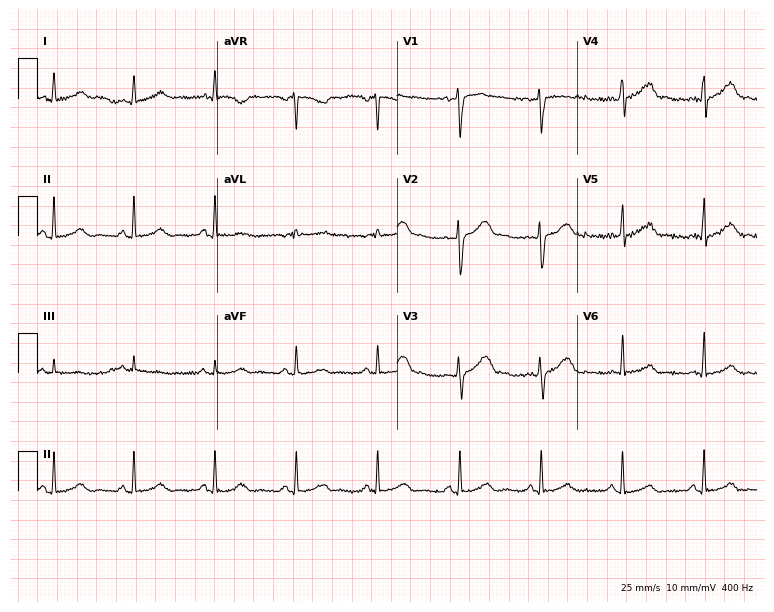
12-lead ECG (7.3-second recording at 400 Hz) from a 33-year-old female patient. Screened for six findings — first-degree AV block, right bundle branch block, left bundle branch block, sinus bradycardia, atrial fibrillation, sinus tachycardia — none is recorded. Other findings, if any, are not listed.